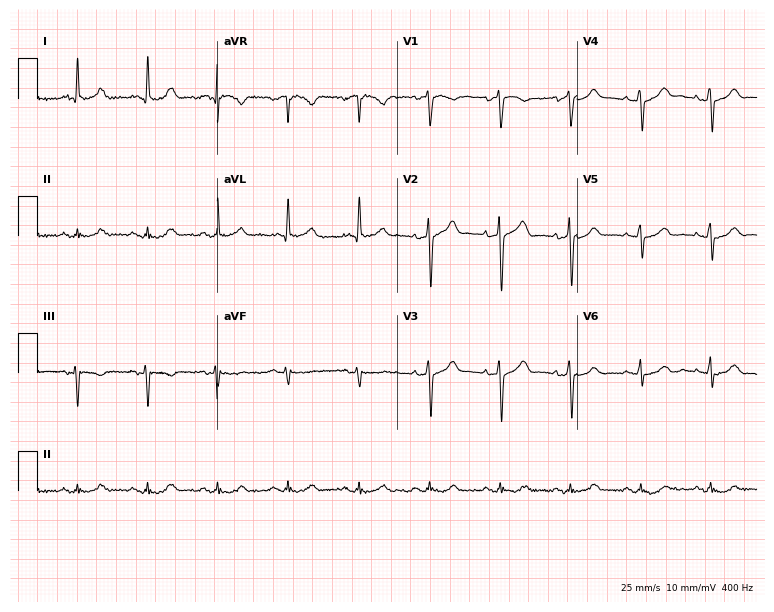
ECG — a 77-year-old male. Labelled as a normal ECG.